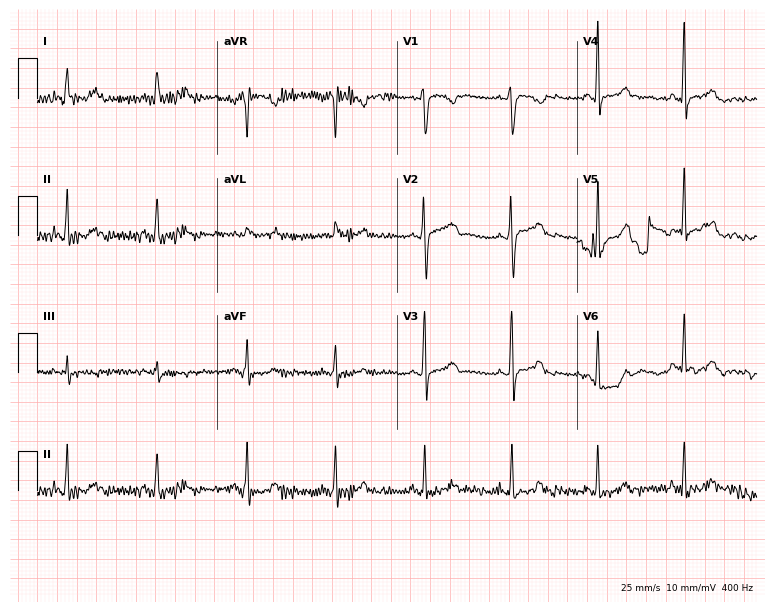
Resting 12-lead electrocardiogram. Patient: a female, 46 years old. None of these six findings is recorded: first-degree AV block, right bundle branch block, left bundle branch block, sinus bradycardia, atrial fibrillation, sinus tachycardia. Findings outside these six are not listed.